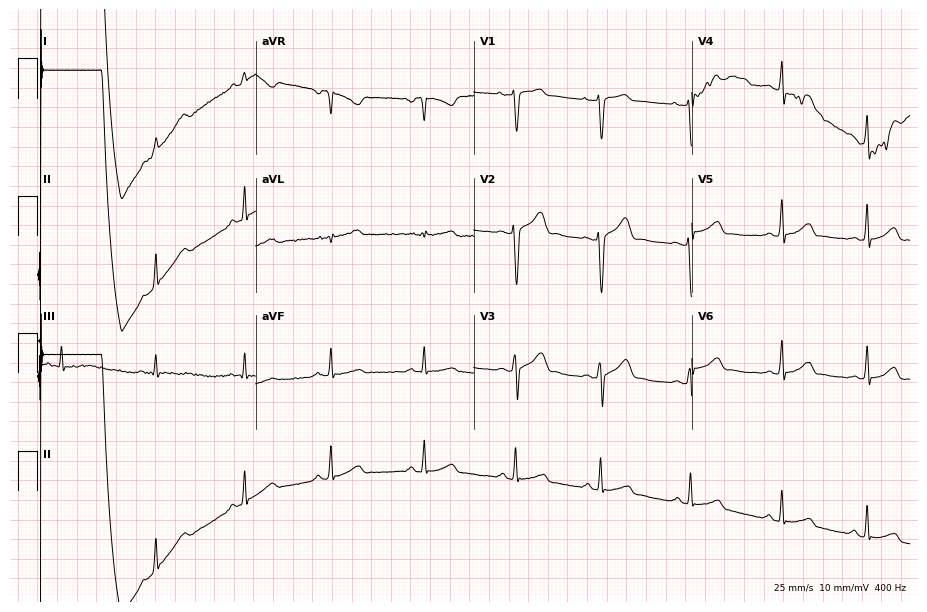
Standard 12-lead ECG recorded from a woman, 29 years old. Read as a normal ECG.